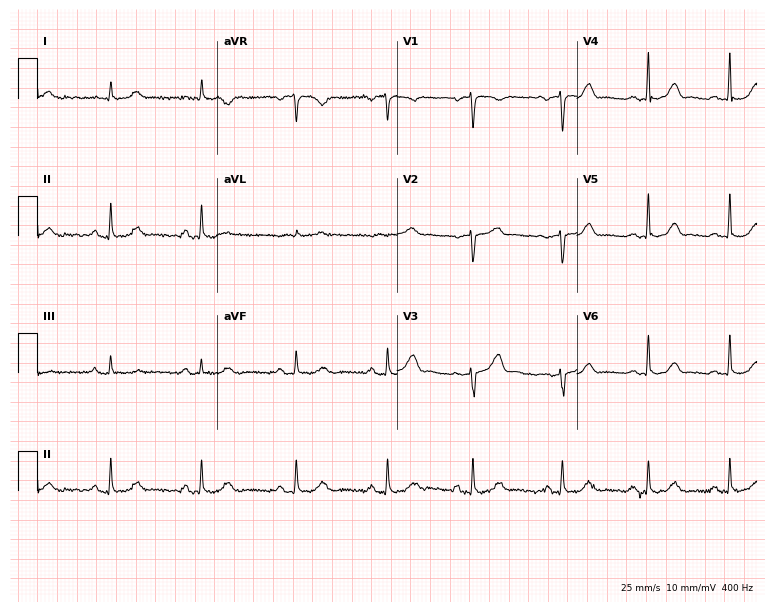
Standard 12-lead ECG recorded from a 50-year-old woman. Read as a normal ECG.